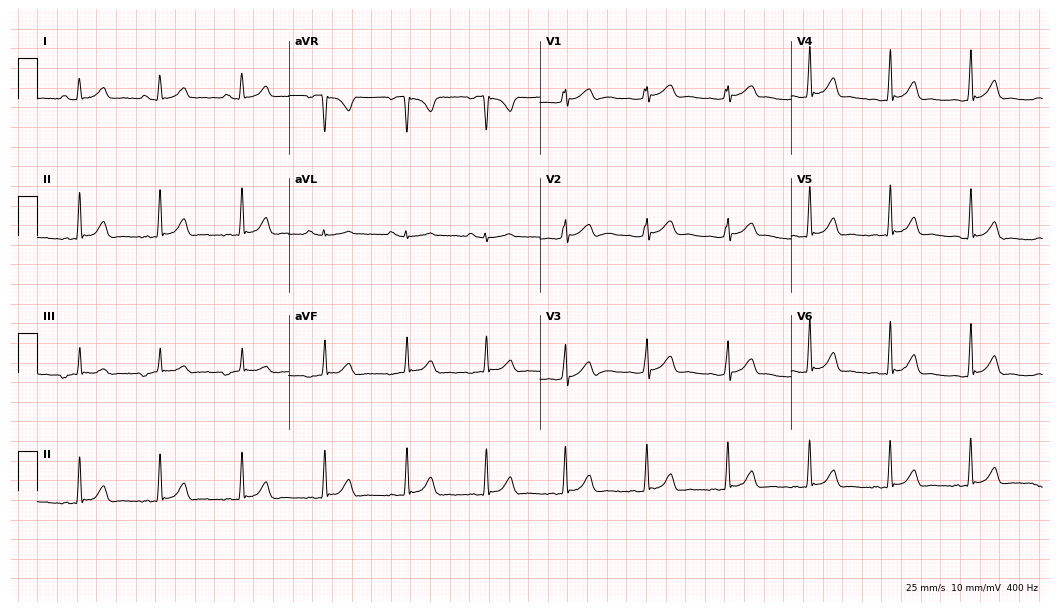
ECG (10.2-second recording at 400 Hz) — a female patient, 26 years old. Screened for six findings — first-degree AV block, right bundle branch block, left bundle branch block, sinus bradycardia, atrial fibrillation, sinus tachycardia — none is recorded.